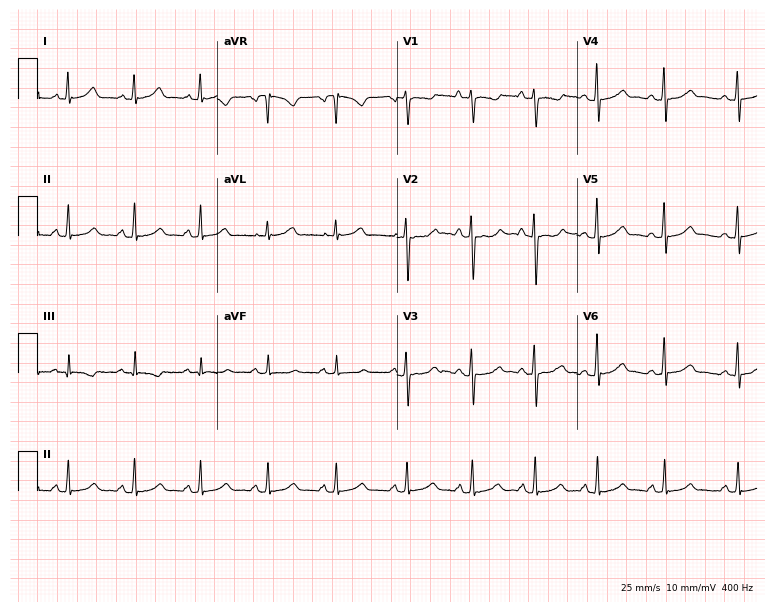
Resting 12-lead electrocardiogram (7.3-second recording at 400 Hz). Patient: a woman, 30 years old. None of these six findings is recorded: first-degree AV block, right bundle branch block, left bundle branch block, sinus bradycardia, atrial fibrillation, sinus tachycardia.